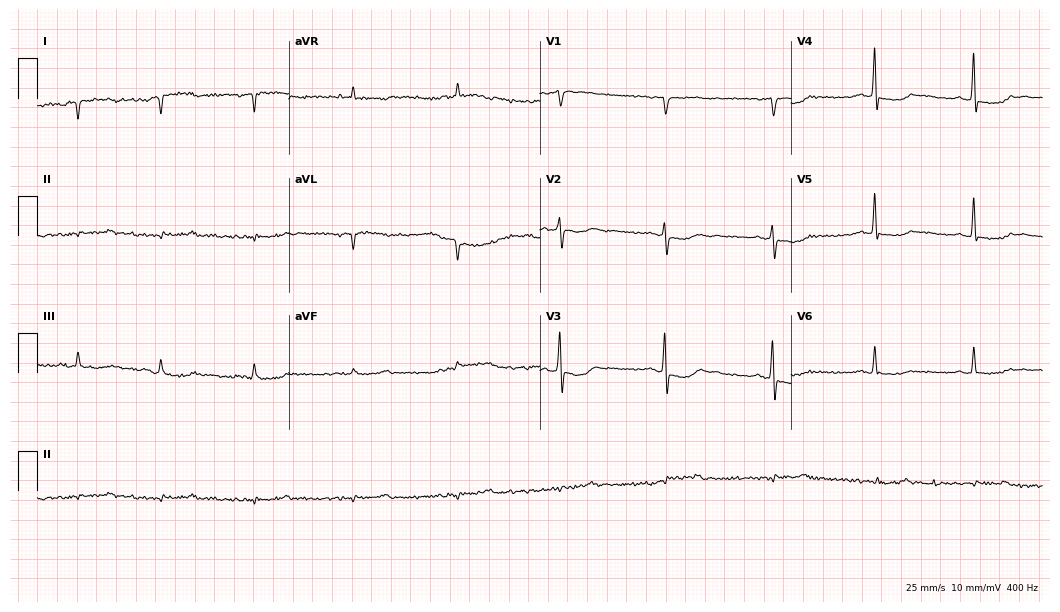
12-lead ECG from a 52-year-old man. Screened for six findings — first-degree AV block, right bundle branch block, left bundle branch block, sinus bradycardia, atrial fibrillation, sinus tachycardia — none is recorded. Other findings, if any, are not listed.